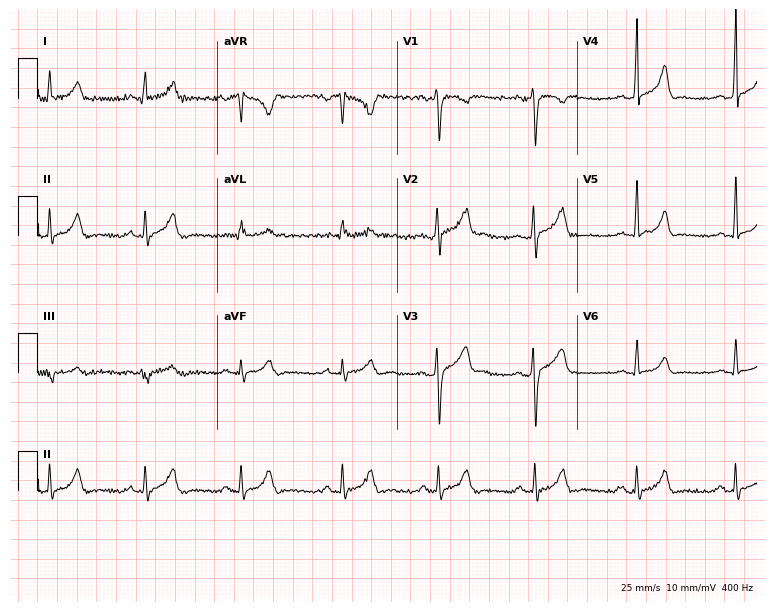
12-lead ECG (7.3-second recording at 400 Hz) from a 27-year-old male. Labelled as a normal ECG.